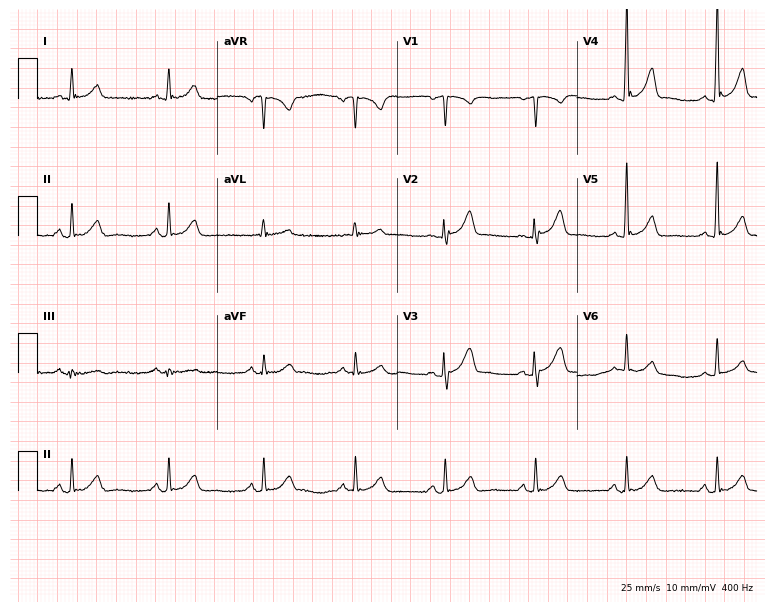
12-lead ECG (7.3-second recording at 400 Hz) from a 60-year-old man. Screened for six findings — first-degree AV block, right bundle branch block, left bundle branch block, sinus bradycardia, atrial fibrillation, sinus tachycardia — none is recorded. Other findings, if any, are not listed.